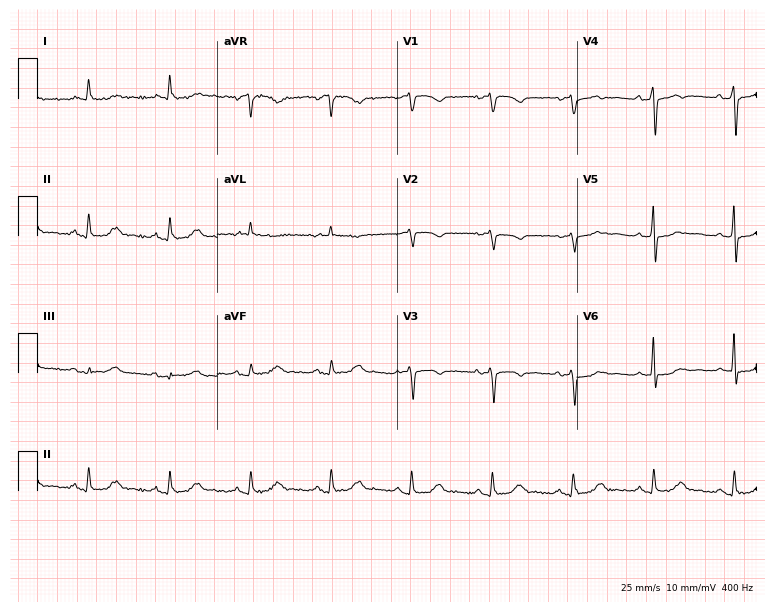
ECG — a 78-year-old woman. Screened for six findings — first-degree AV block, right bundle branch block, left bundle branch block, sinus bradycardia, atrial fibrillation, sinus tachycardia — none is recorded.